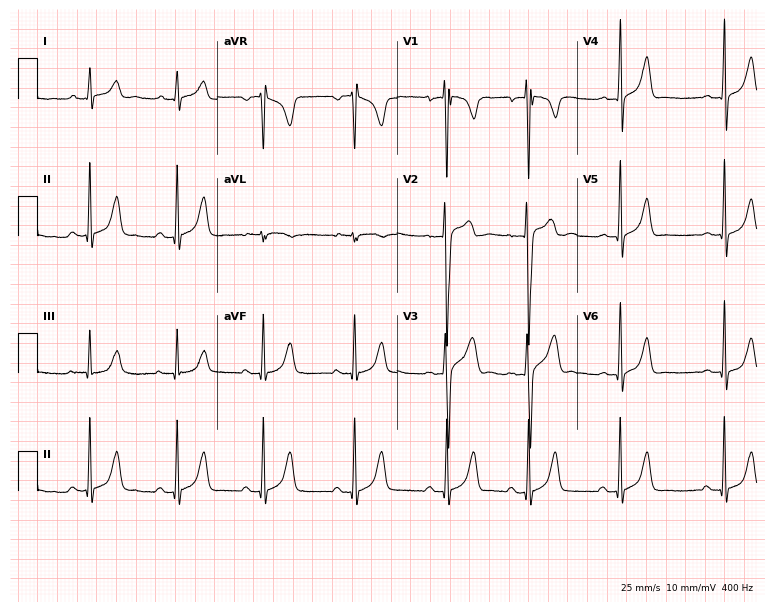
Standard 12-lead ECG recorded from a man, 18 years old. Read as a normal ECG.